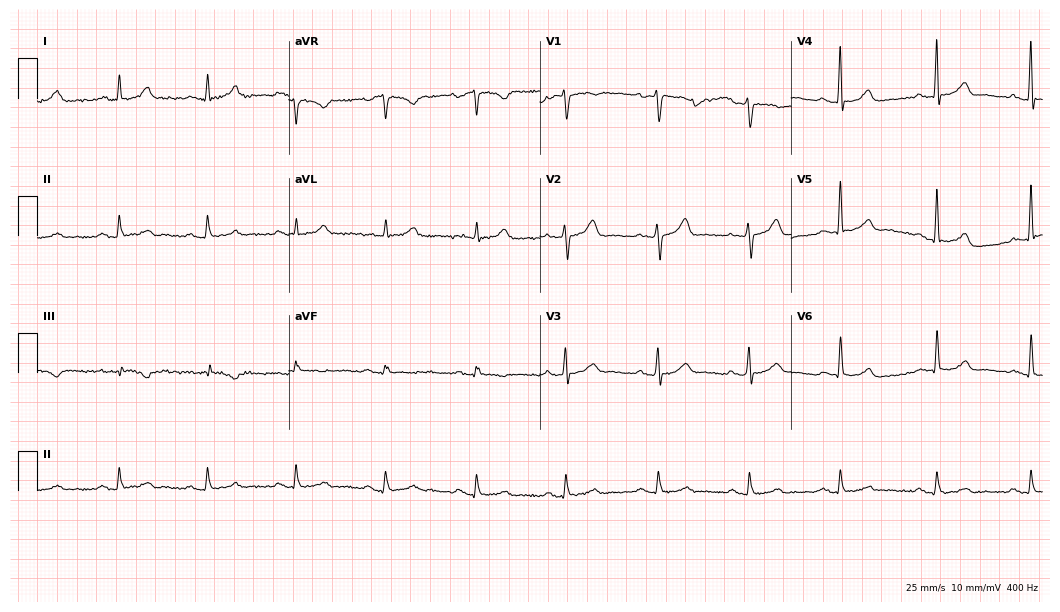
Standard 12-lead ECG recorded from a man, 60 years old (10.2-second recording at 400 Hz). Read as a normal ECG.